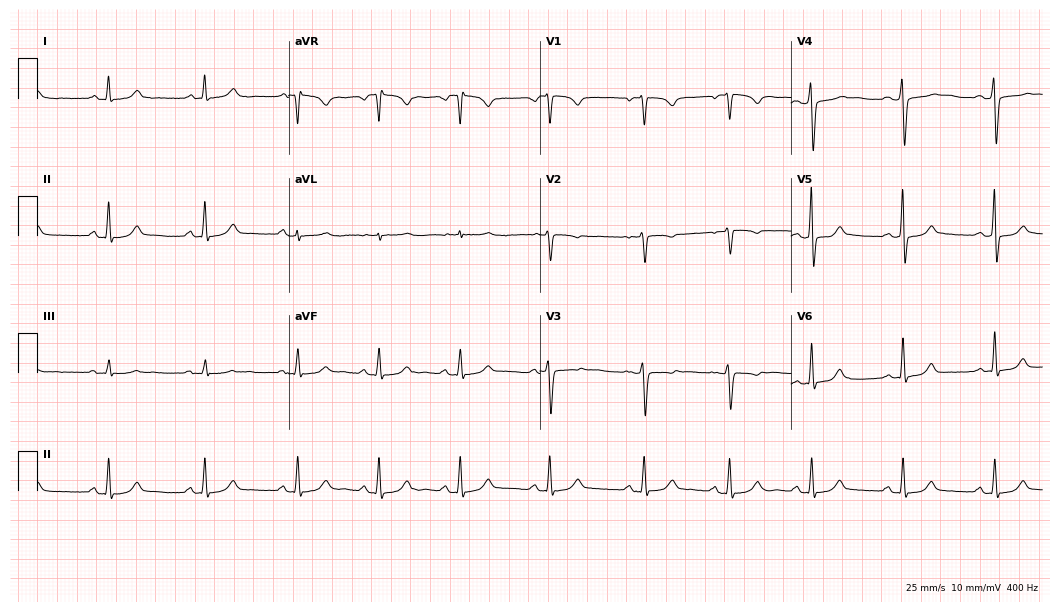
12-lead ECG from a 29-year-old female. Labelled as a normal ECG.